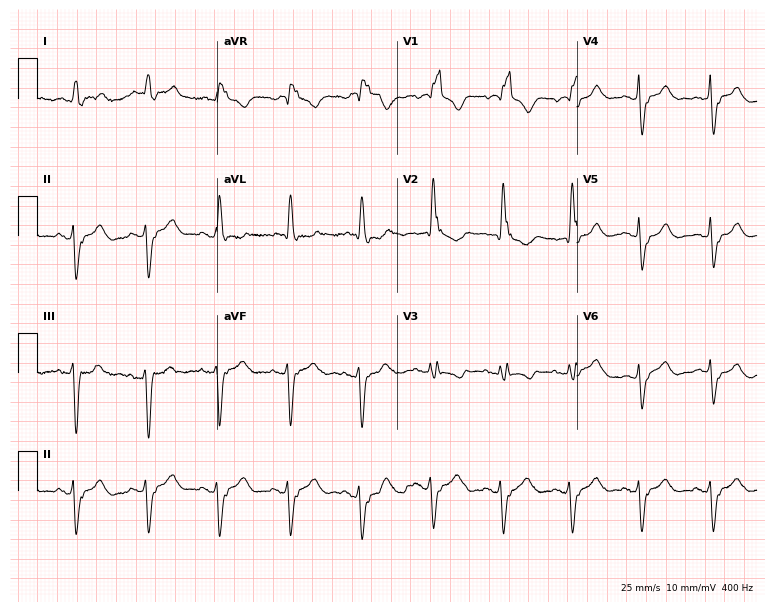
Electrocardiogram (7.3-second recording at 400 Hz), a female patient, 84 years old. Interpretation includes right bundle branch block (RBBB).